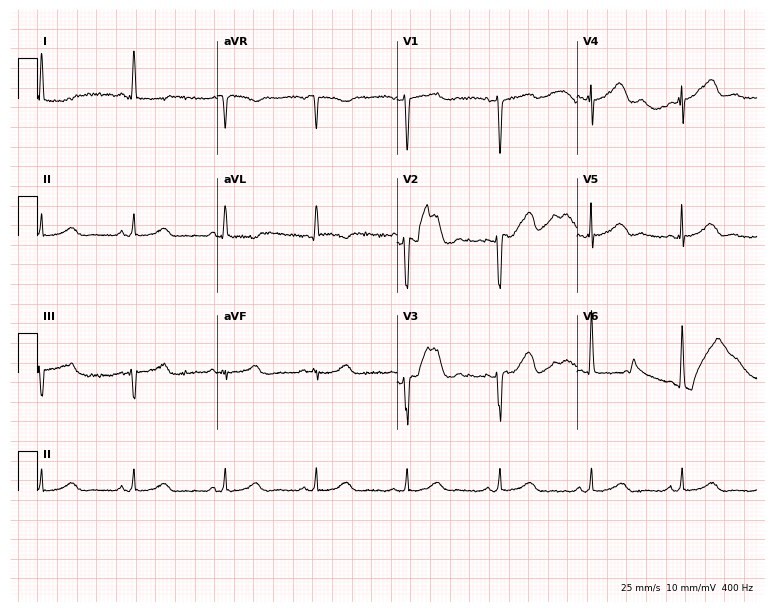
12-lead ECG from a 50-year-old female patient (7.3-second recording at 400 Hz). No first-degree AV block, right bundle branch block (RBBB), left bundle branch block (LBBB), sinus bradycardia, atrial fibrillation (AF) or sinus tachycardia recorded for this tracing.